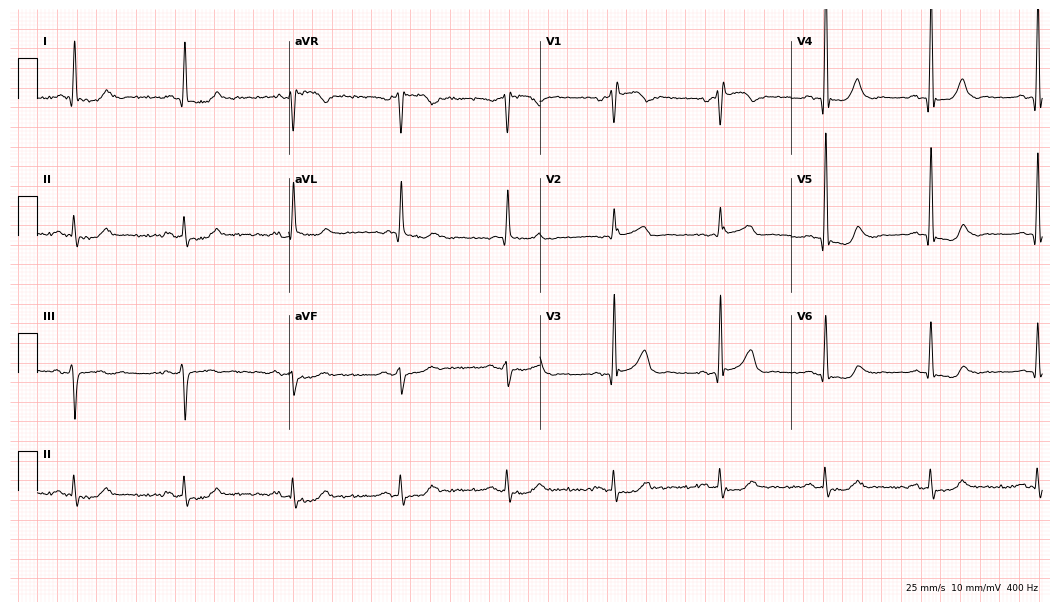
Electrocardiogram (10.2-second recording at 400 Hz), a man, 85 years old. Of the six screened findings (first-degree AV block, right bundle branch block, left bundle branch block, sinus bradycardia, atrial fibrillation, sinus tachycardia), none is recorded.